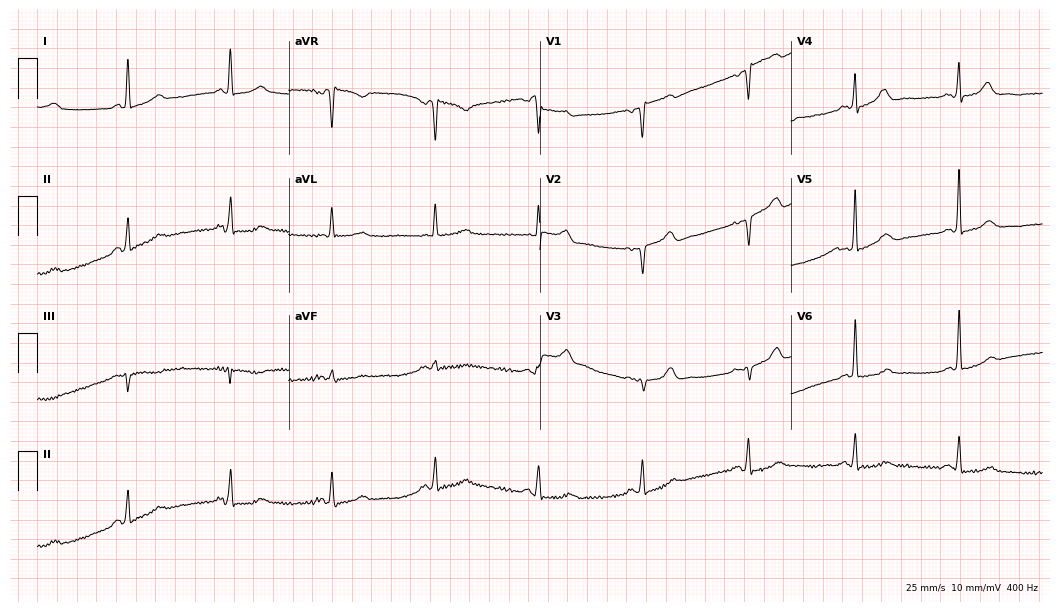
ECG (10.2-second recording at 400 Hz) — a 66-year-old female. Screened for six findings — first-degree AV block, right bundle branch block (RBBB), left bundle branch block (LBBB), sinus bradycardia, atrial fibrillation (AF), sinus tachycardia — none is recorded.